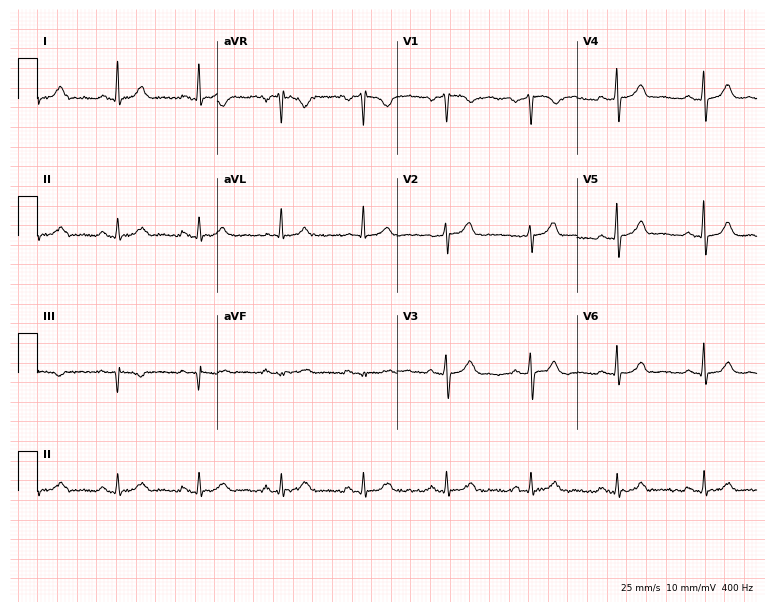
Resting 12-lead electrocardiogram. Patient: a 58-year-old male. Read as a normal ECG.